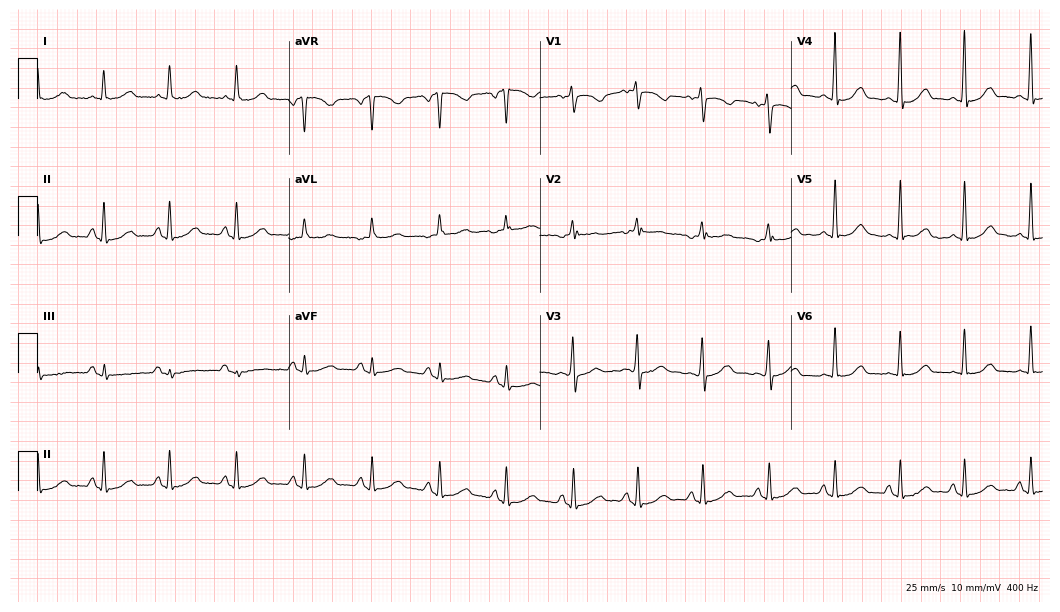
12-lead ECG from a woman, 50 years old (10.2-second recording at 400 Hz). Recorded interpretation: within normal limits.